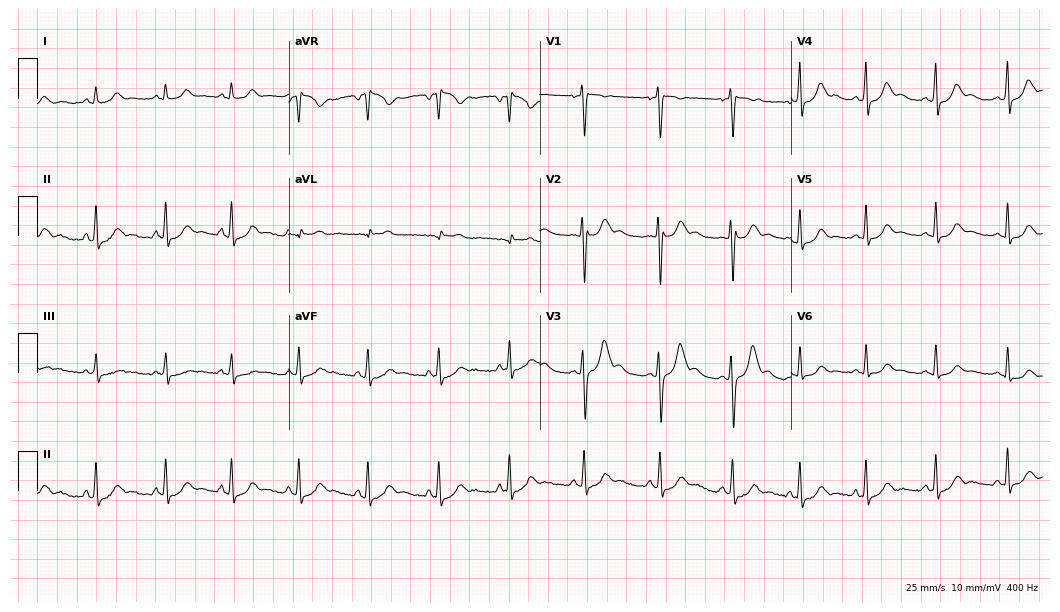
Standard 12-lead ECG recorded from an 18-year-old woman. Read as a normal ECG.